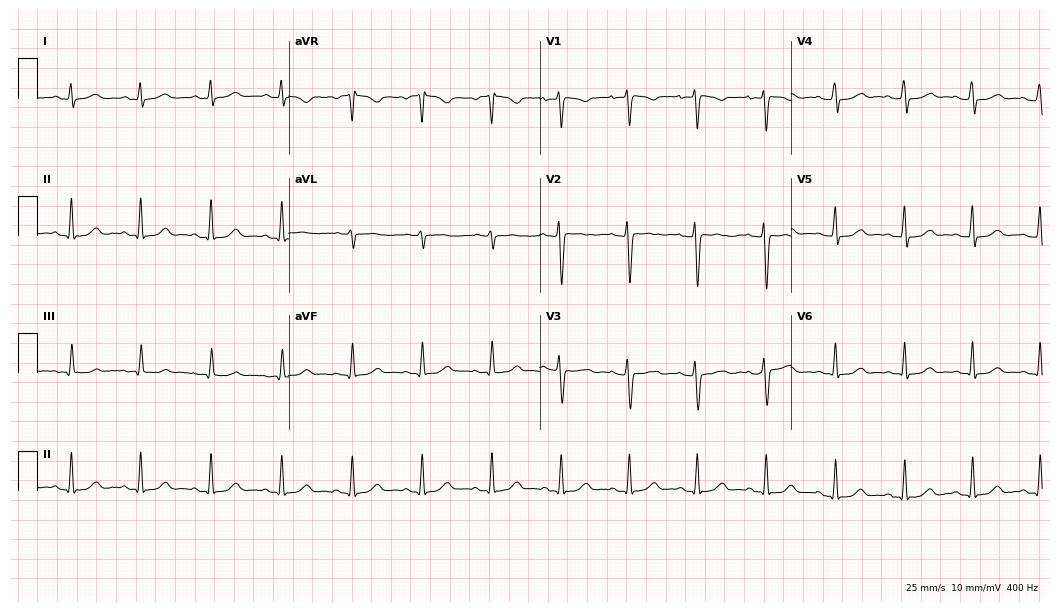
Standard 12-lead ECG recorded from a female patient, 38 years old. Read as a normal ECG.